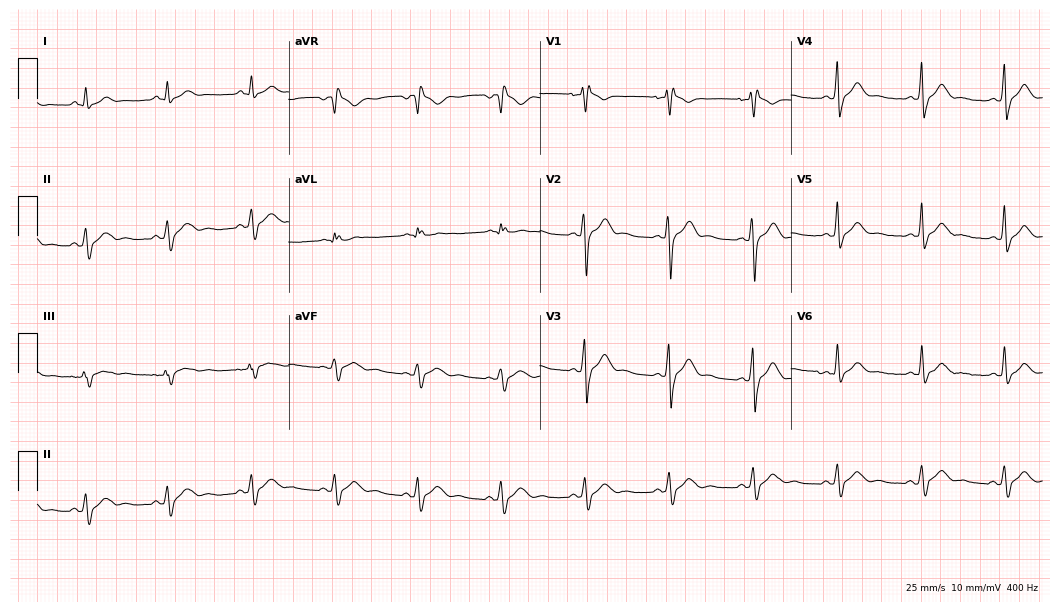
Resting 12-lead electrocardiogram. Patient: a male, 30 years old. Read as a normal ECG.